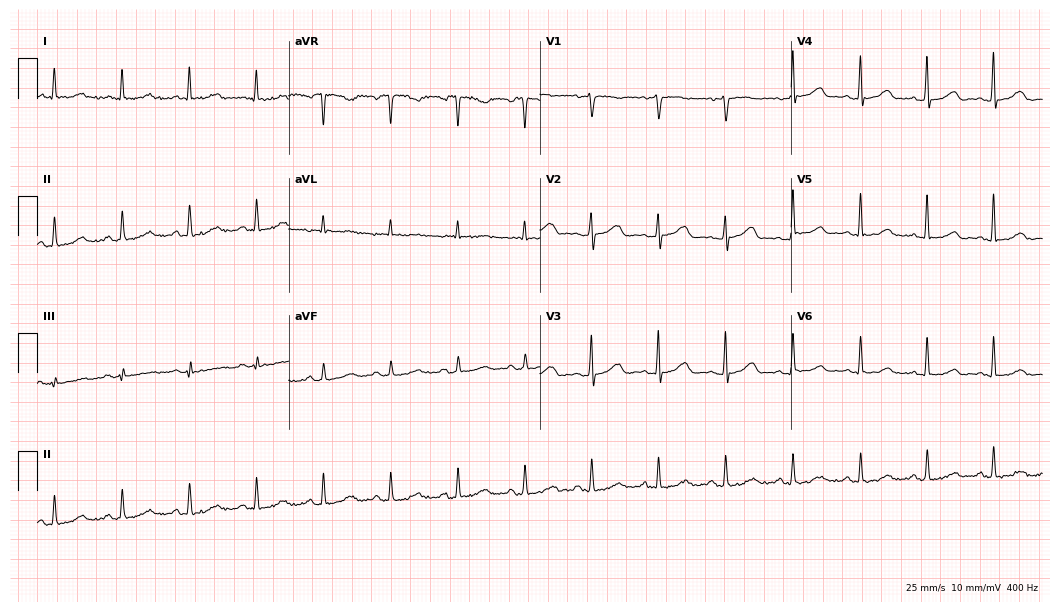
Standard 12-lead ECG recorded from a 57-year-old woman (10.2-second recording at 400 Hz). Read as a normal ECG.